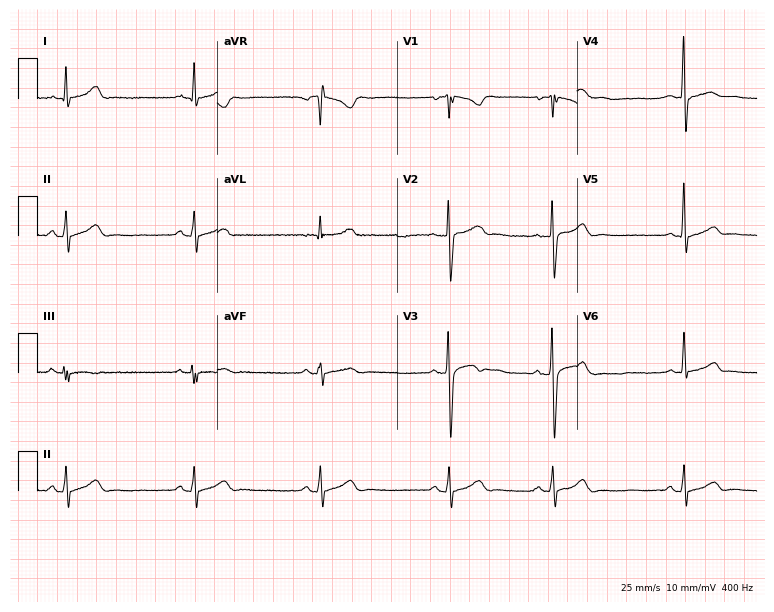
Electrocardiogram (7.3-second recording at 400 Hz), a male, 18 years old. Overall reading on record: normal ECG.